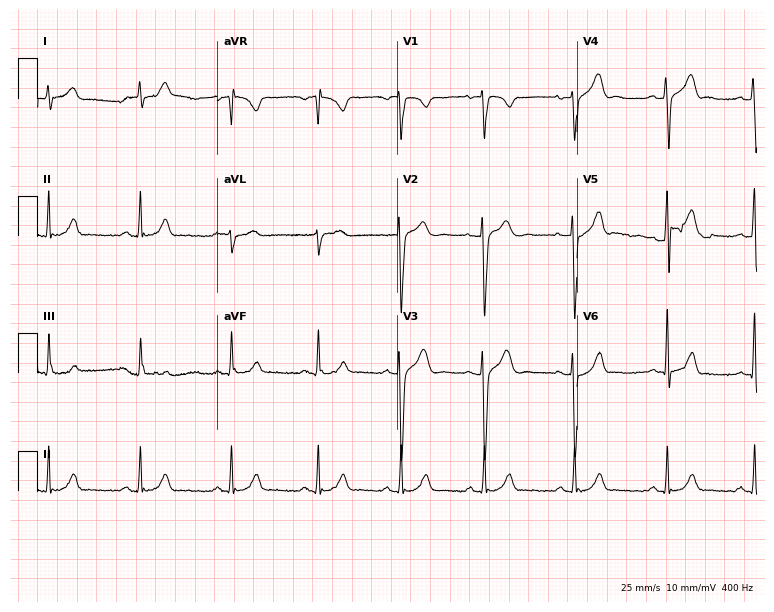
Resting 12-lead electrocardiogram. Patient: a male, 32 years old. Read as a normal ECG.